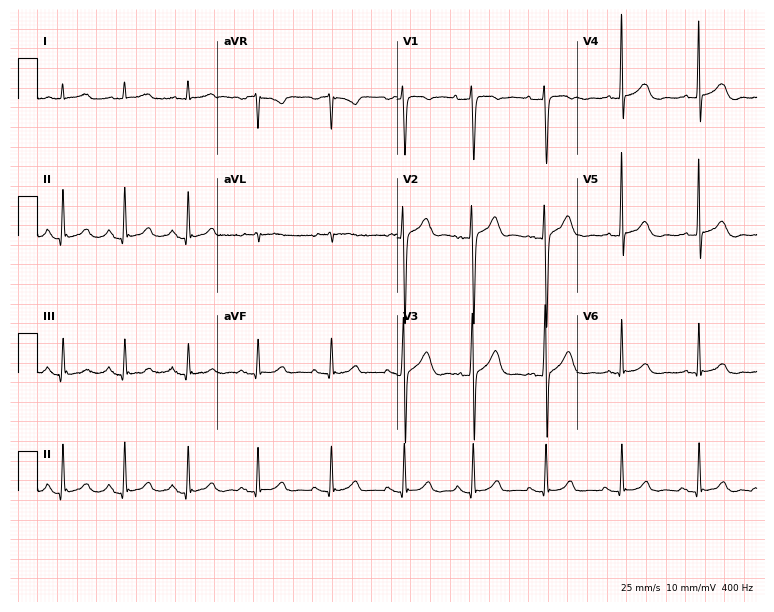
Standard 12-lead ECG recorded from a 66-year-old woman. None of these six findings is recorded: first-degree AV block, right bundle branch block (RBBB), left bundle branch block (LBBB), sinus bradycardia, atrial fibrillation (AF), sinus tachycardia.